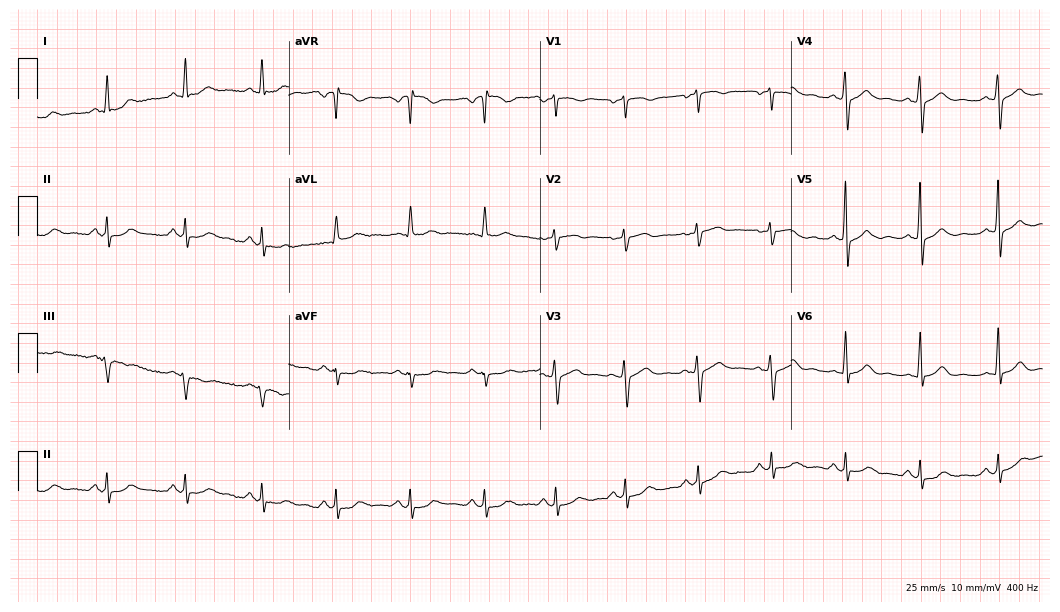
ECG (10.2-second recording at 400 Hz) — an 82-year-old female patient. Labelled as a normal ECG.